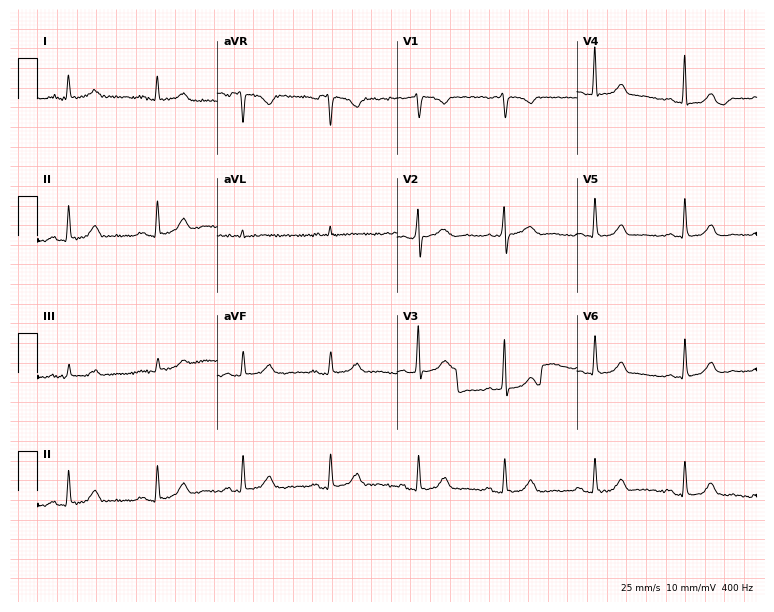
Electrocardiogram, a 39-year-old woman. Of the six screened findings (first-degree AV block, right bundle branch block, left bundle branch block, sinus bradycardia, atrial fibrillation, sinus tachycardia), none is recorded.